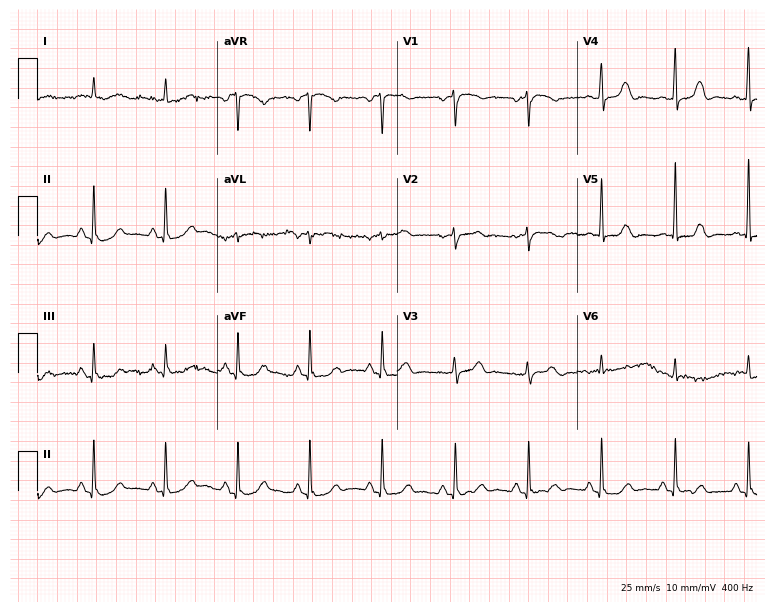
Standard 12-lead ECG recorded from a female, 78 years old. None of these six findings is recorded: first-degree AV block, right bundle branch block, left bundle branch block, sinus bradycardia, atrial fibrillation, sinus tachycardia.